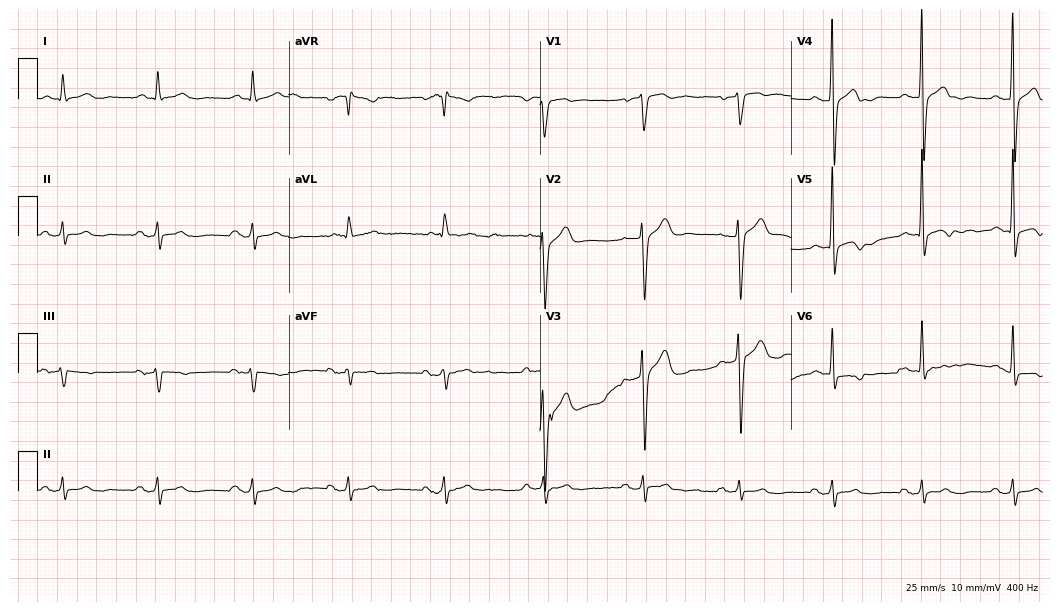
Standard 12-lead ECG recorded from a man, 69 years old. None of these six findings is recorded: first-degree AV block, right bundle branch block, left bundle branch block, sinus bradycardia, atrial fibrillation, sinus tachycardia.